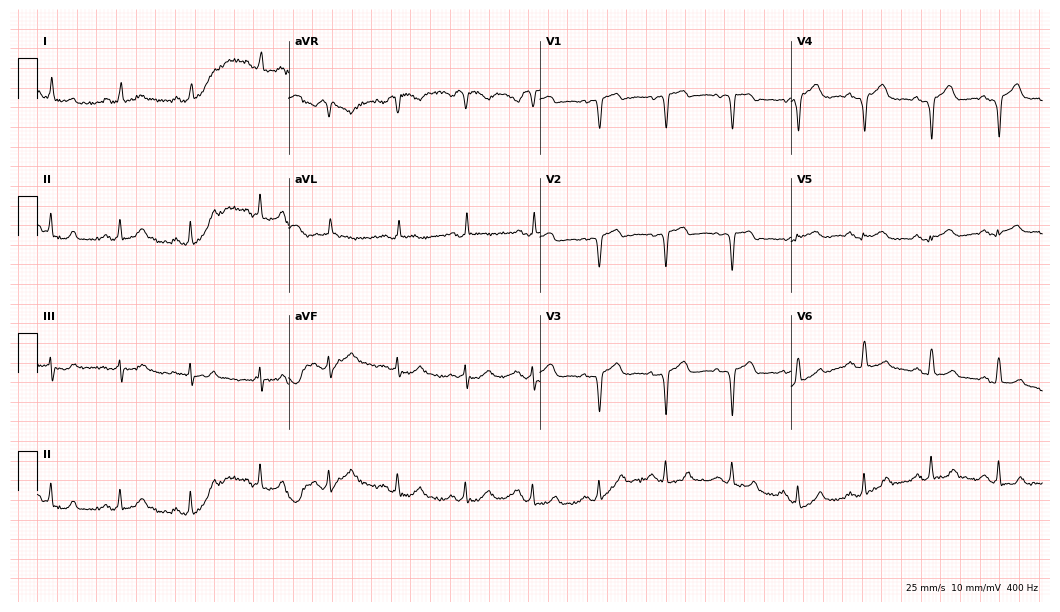
Electrocardiogram (10.2-second recording at 400 Hz), a 58-year-old male. Of the six screened findings (first-degree AV block, right bundle branch block (RBBB), left bundle branch block (LBBB), sinus bradycardia, atrial fibrillation (AF), sinus tachycardia), none is recorded. Other findings, if any, are not listed.